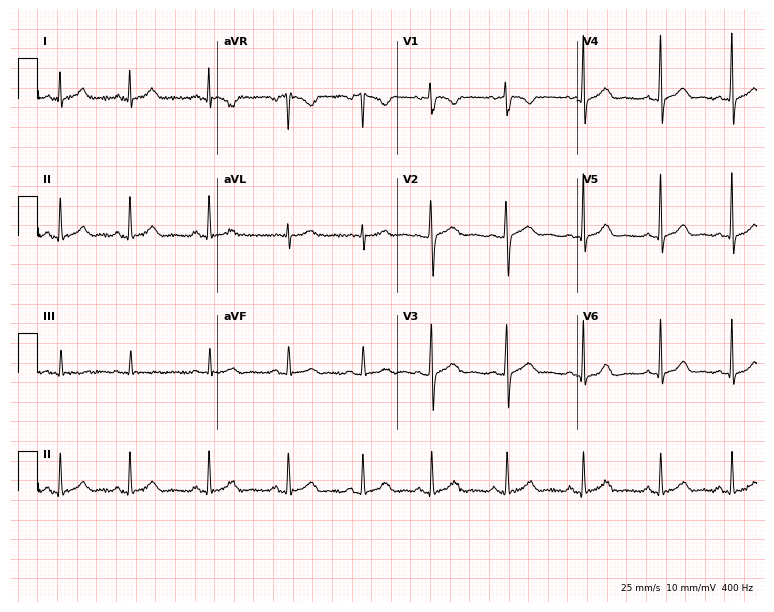
Standard 12-lead ECG recorded from a 31-year-old female patient (7.3-second recording at 400 Hz). None of these six findings is recorded: first-degree AV block, right bundle branch block (RBBB), left bundle branch block (LBBB), sinus bradycardia, atrial fibrillation (AF), sinus tachycardia.